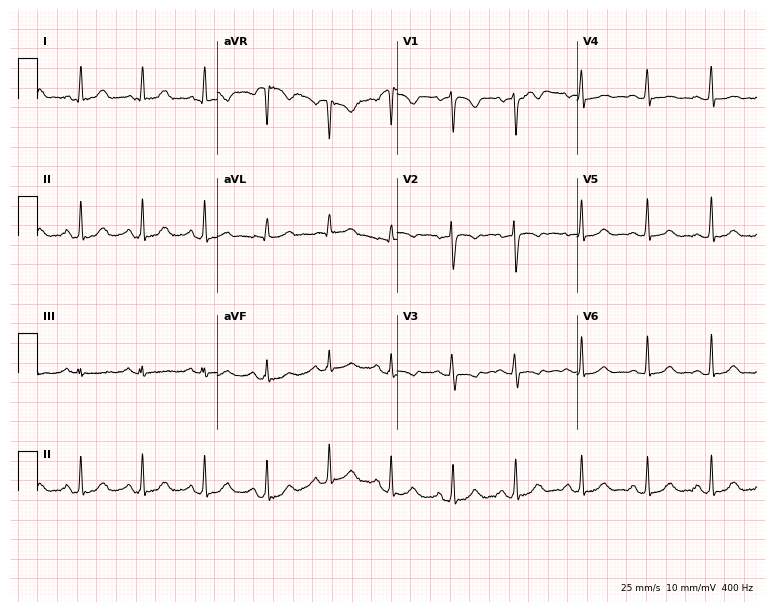
Standard 12-lead ECG recorded from a 35-year-old female (7.3-second recording at 400 Hz). Read as a normal ECG.